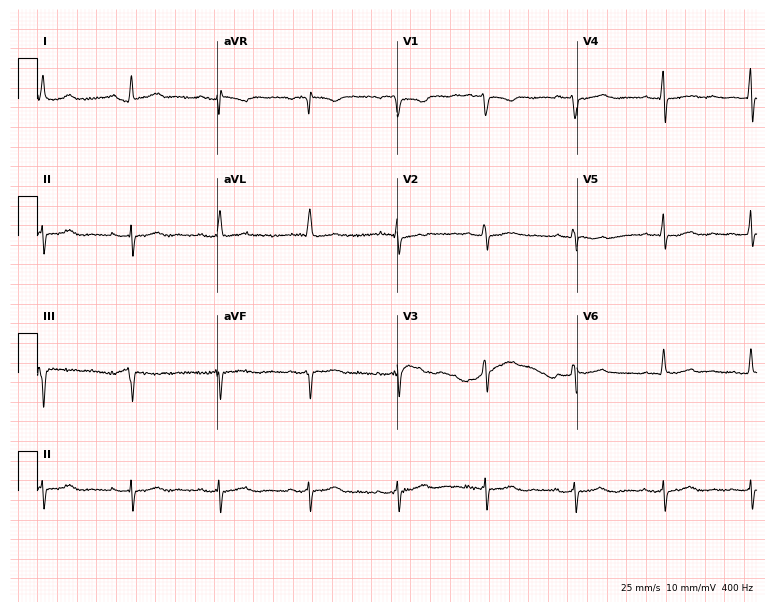
Electrocardiogram, an 85-year-old female patient. Of the six screened findings (first-degree AV block, right bundle branch block, left bundle branch block, sinus bradycardia, atrial fibrillation, sinus tachycardia), none is recorded.